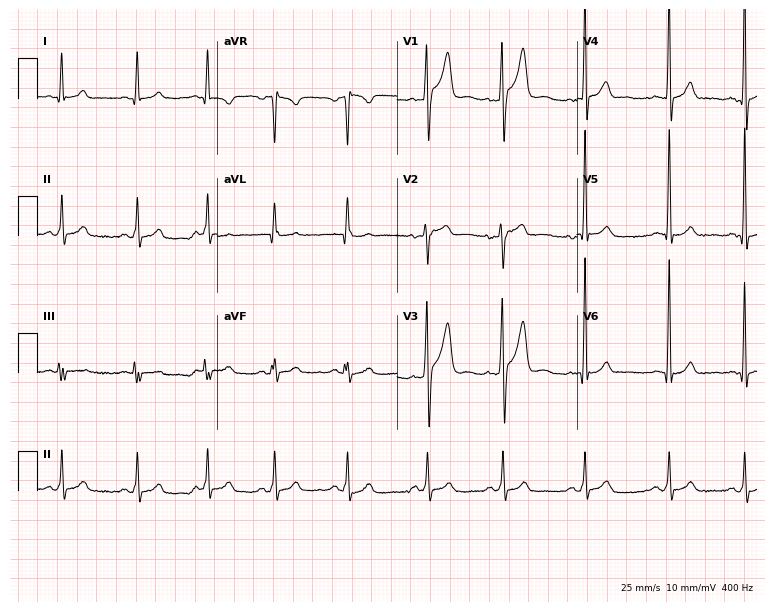
Standard 12-lead ECG recorded from a 23-year-old man (7.3-second recording at 400 Hz). Read as a normal ECG.